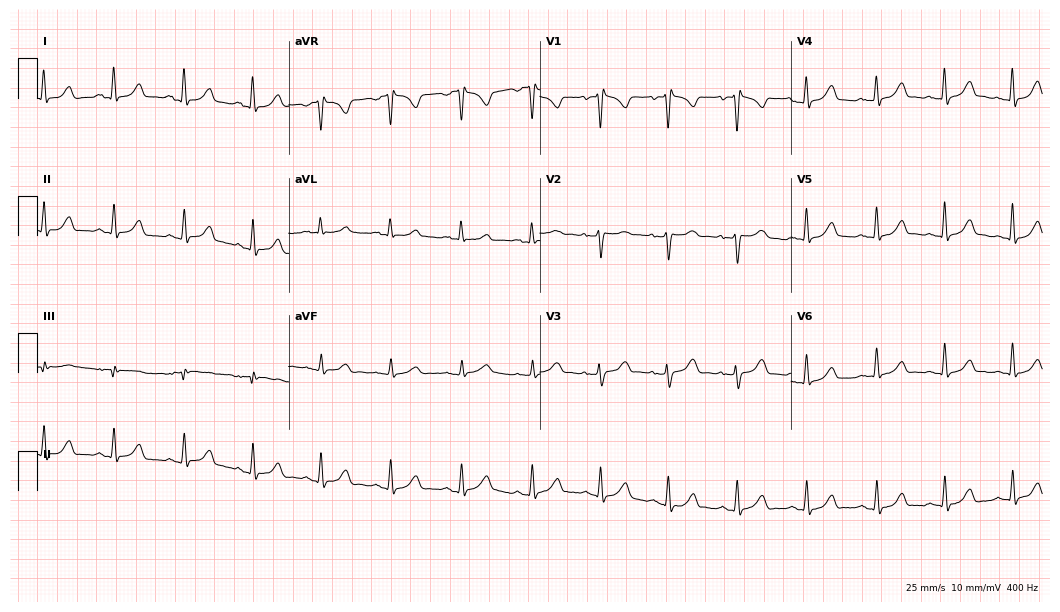
12-lead ECG from a 37-year-old woman. No first-degree AV block, right bundle branch block (RBBB), left bundle branch block (LBBB), sinus bradycardia, atrial fibrillation (AF) or sinus tachycardia recorded for this tracing. Findings outside these six are not listed.